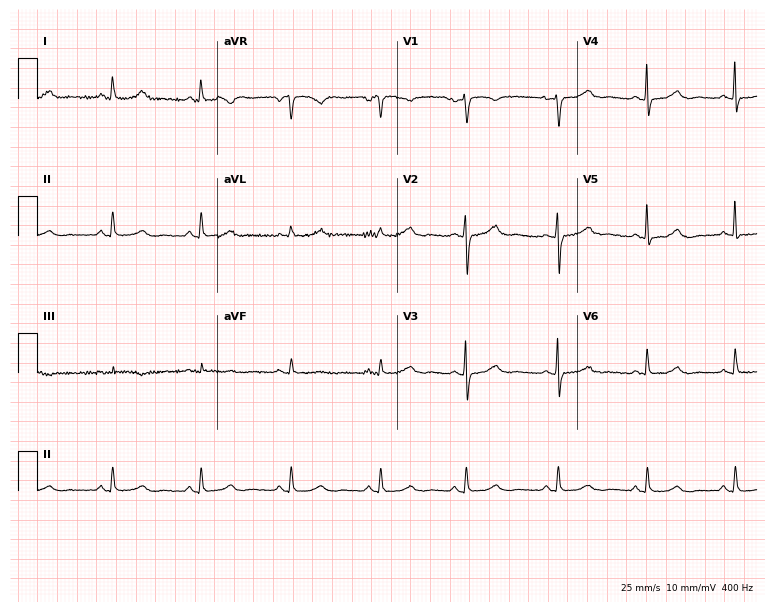
12-lead ECG (7.3-second recording at 400 Hz) from a 51-year-old woman. Screened for six findings — first-degree AV block, right bundle branch block, left bundle branch block, sinus bradycardia, atrial fibrillation, sinus tachycardia — none is recorded. Other findings, if any, are not listed.